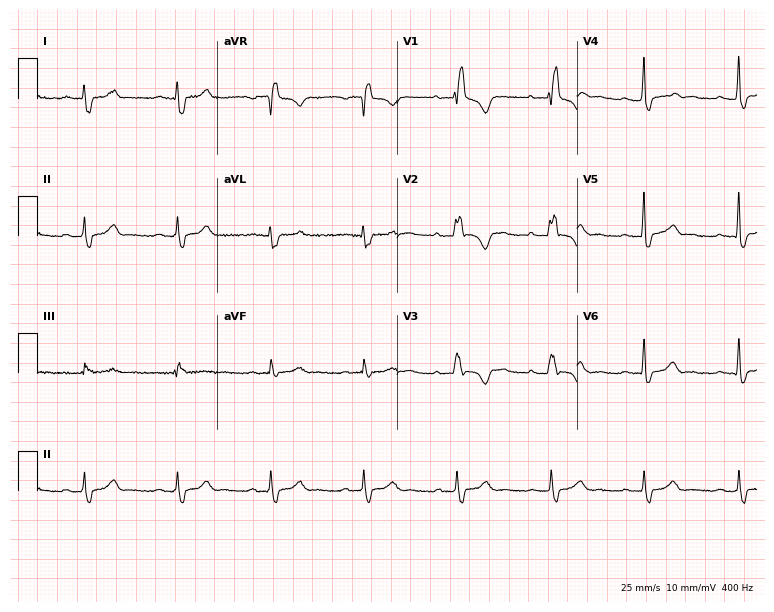
Resting 12-lead electrocardiogram (7.3-second recording at 400 Hz). Patient: a female, 35 years old. The tracing shows first-degree AV block, right bundle branch block (RBBB).